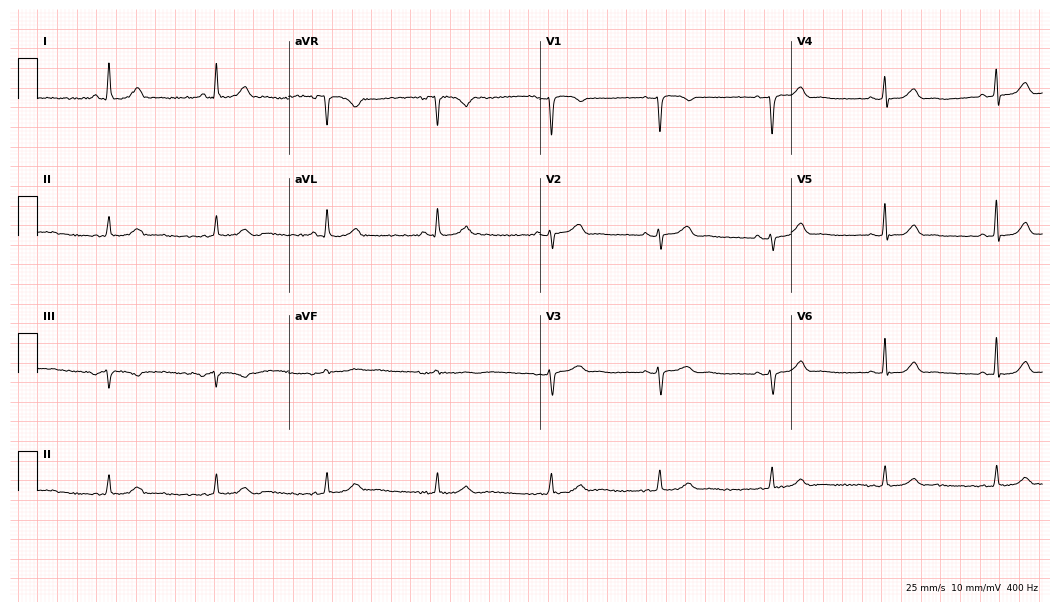
12-lead ECG from a female patient, 62 years old (10.2-second recording at 400 Hz). Recorded interpretation: within normal limits.